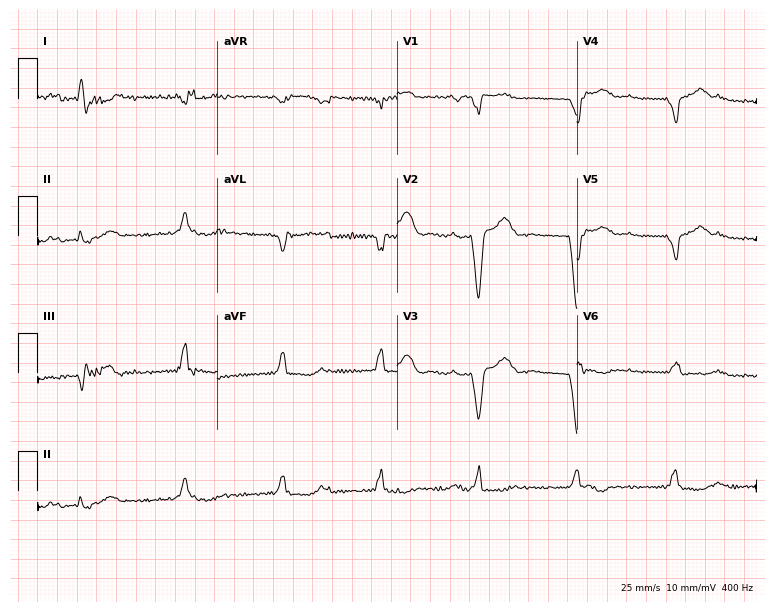
Electrocardiogram, a male patient, 68 years old. Of the six screened findings (first-degree AV block, right bundle branch block, left bundle branch block, sinus bradycardia, atrial fibrillation, sinus tachycardia), none is recorded. Other findings, if any, are not listed.